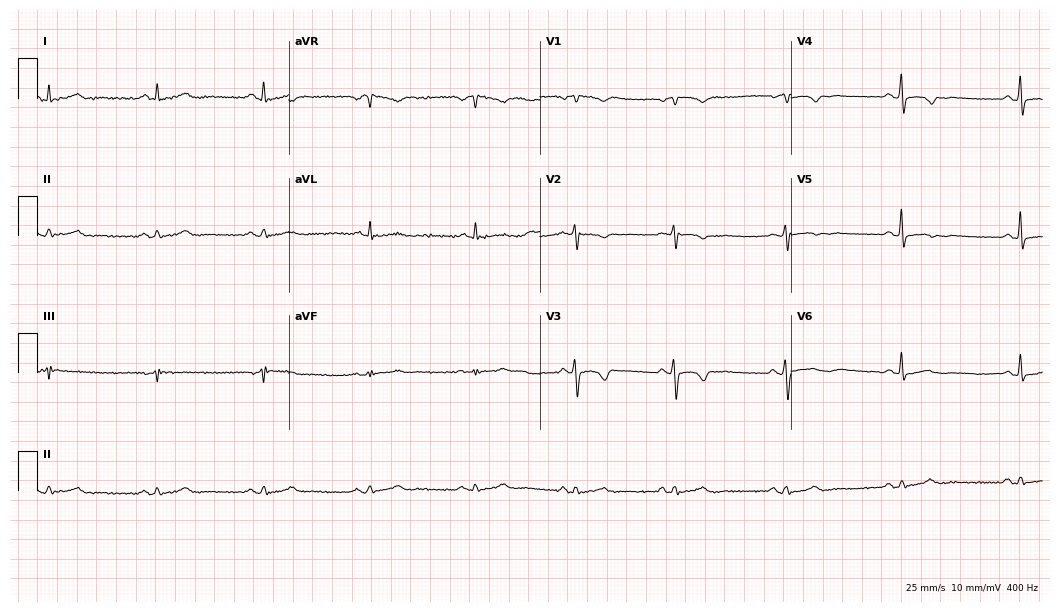
Resting 12-lead electrocardiogram. Patient: a 43-year-old woman. None of these six findings is recorded: first-degree AV block, right bundle branch block, left bundle branch block, sinus bradycardia, atrial fibrillation, sinus tachycardia. Findings outside these six are not listed.